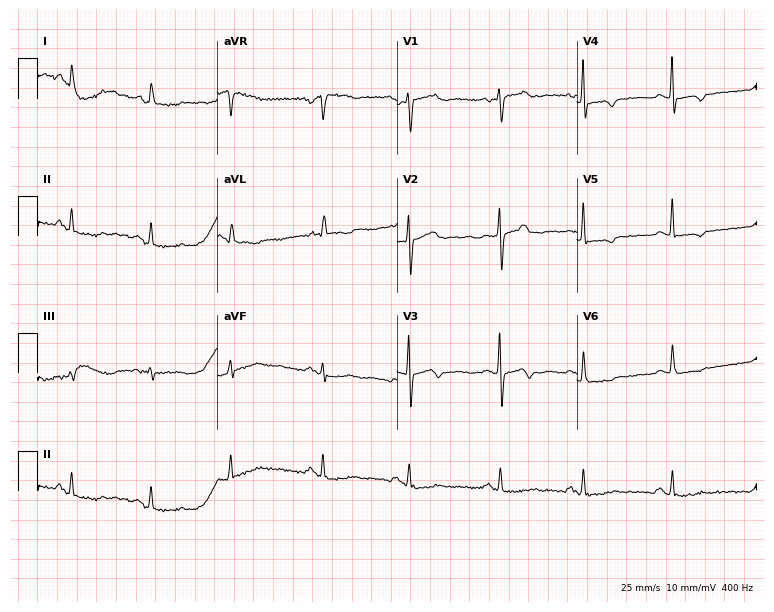
Standard 12-lead ECG recorded from a 73-year-old woman. None of these six findings is recorded: first-degree AV block, right bundle branch block (RBBB), left bundle branch block (LBBB), sinus bradycardia, atrial fibrillation (AF), sinus tachycardia.